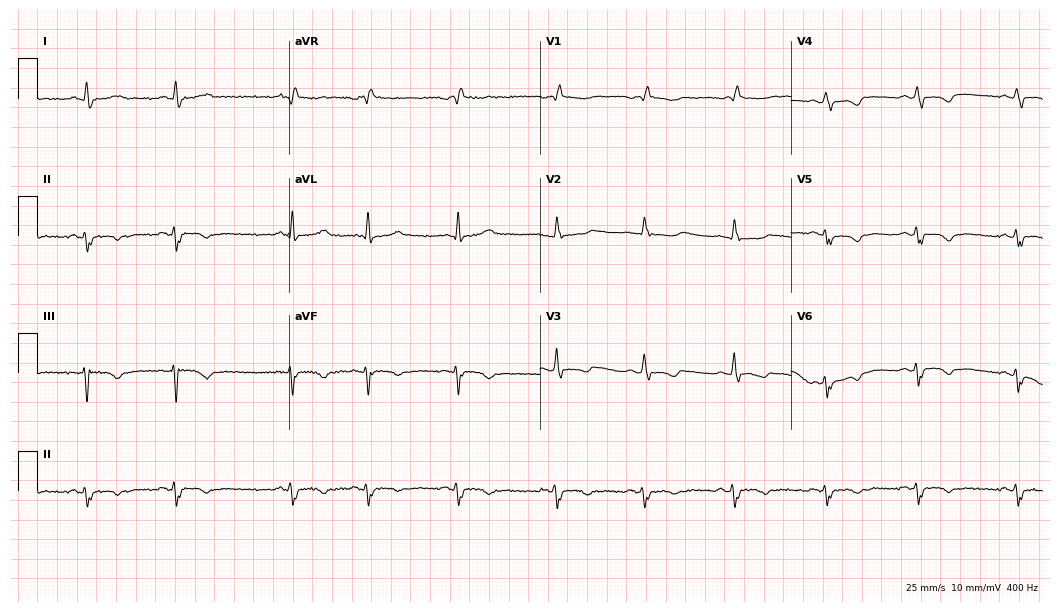
12-lead ECG from a male patient, 63 years old. No first-degree AV block, right bundle branch block (RBBB), left bundle branch block (LBBB), sinus bradycardia, atrial fibrillation (AF) or sinus tachycardia recorded for this tracing. Findings outside these six are not listed.